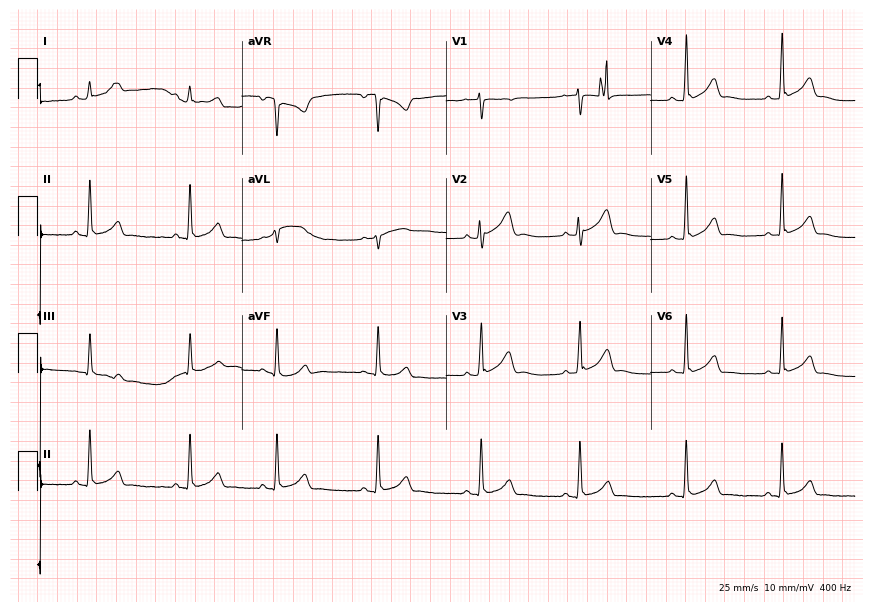
ECG — a 17-year-old female patient. Labelled as a normal ECG.